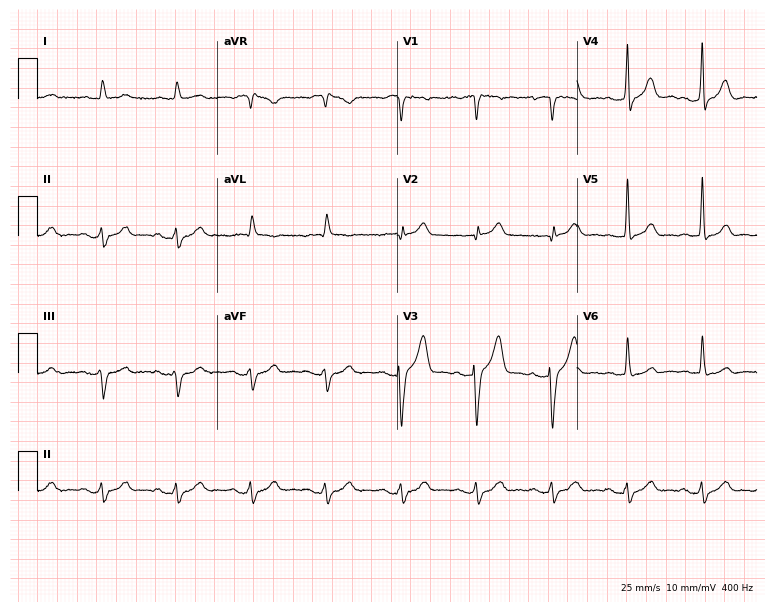
12-lead ECG from a male patient, 81 years old (7.3-second recording at 400 Hz). No first-degree AV block, right bundle branch block (RBBB), left bundle branch block (LBBB), sinus bradycardia, atrial fibrillation (AF) or sinus tachycardia recorded for this tracing. Other findings, if any, are not listed.